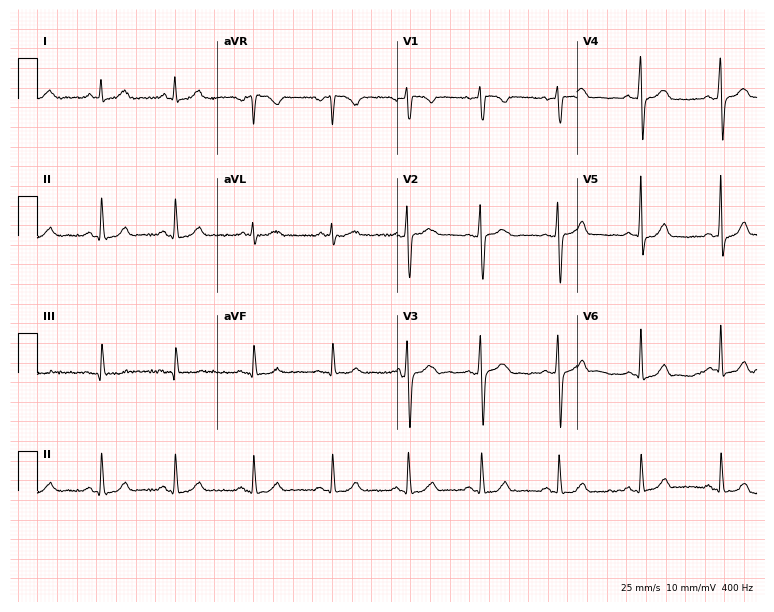
12-lead ECG (7.3-second recording at 400 Hz) from a 42-year-old man. Labelled as a normal ECG.